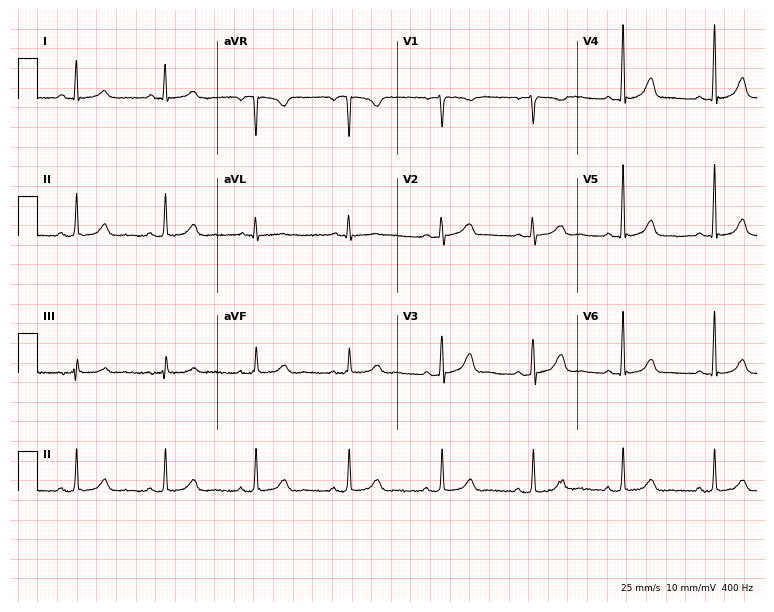
12-lead ECG from a 49-year-old woman (7.3-second recording at 400 Hz). Recorded interpretation: within normal limits.